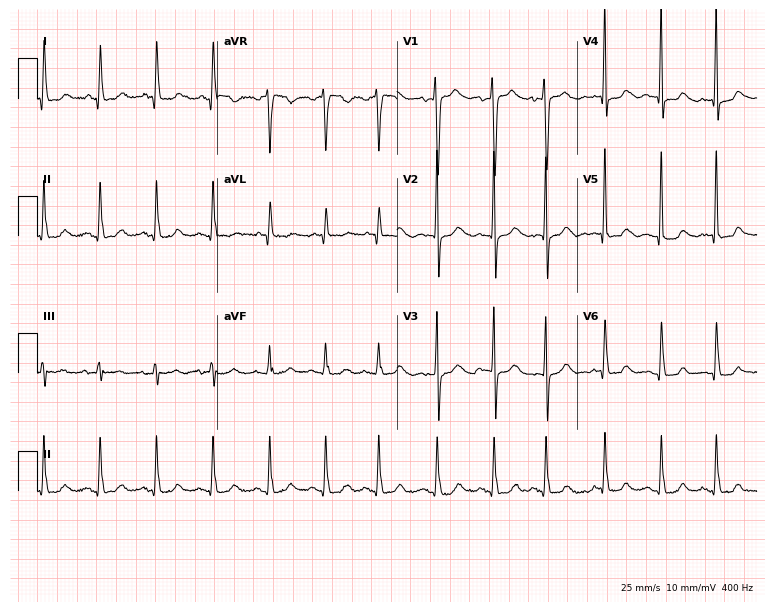
Resting 12-lead electrocardiogram (7.3-second recording at 400 Hz). Patient: a female, 77 years old. None of these six findings is recorded: first-degree AV block, right bundle branch block, left bundle branch block, sinus bradycardia, atrial fibrillation, sinus tachycardia. Other findings, if any, are not listed.